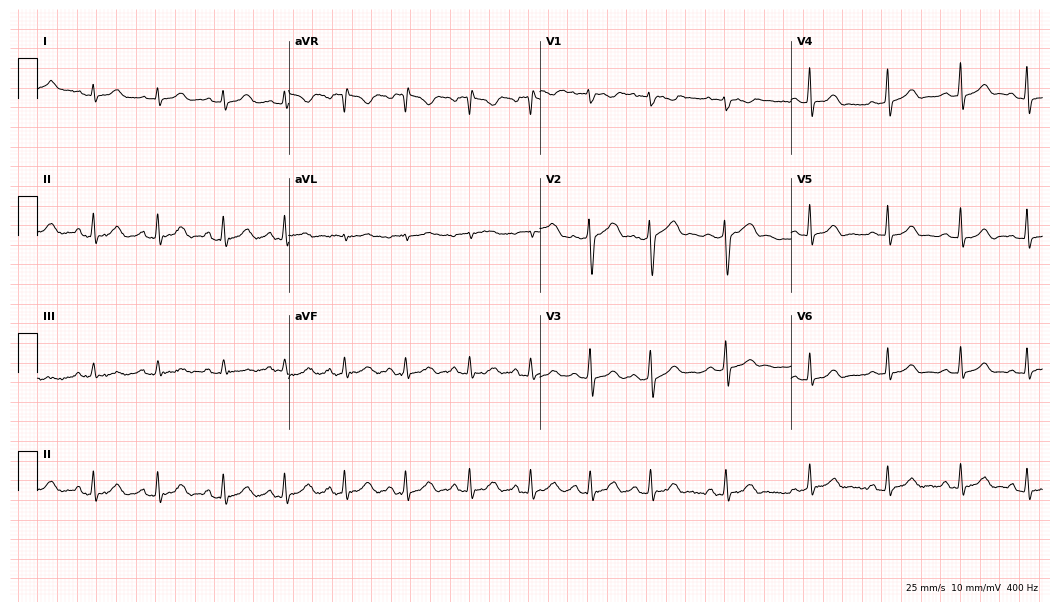
Electrocardiogram (10.2-second recording at 400 Hz), a 26-year-old woman. Overall reading on record: normal ECG.